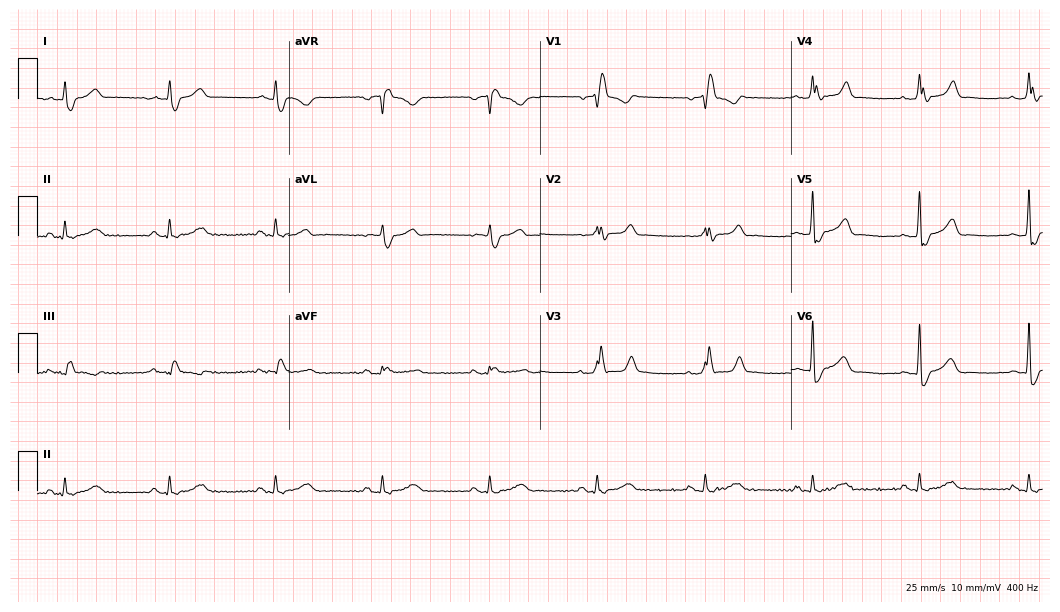
12-lead ECG (10.2-second recording at 400 Hz) from a male, 70 years old. Findings include right bundle branch block.